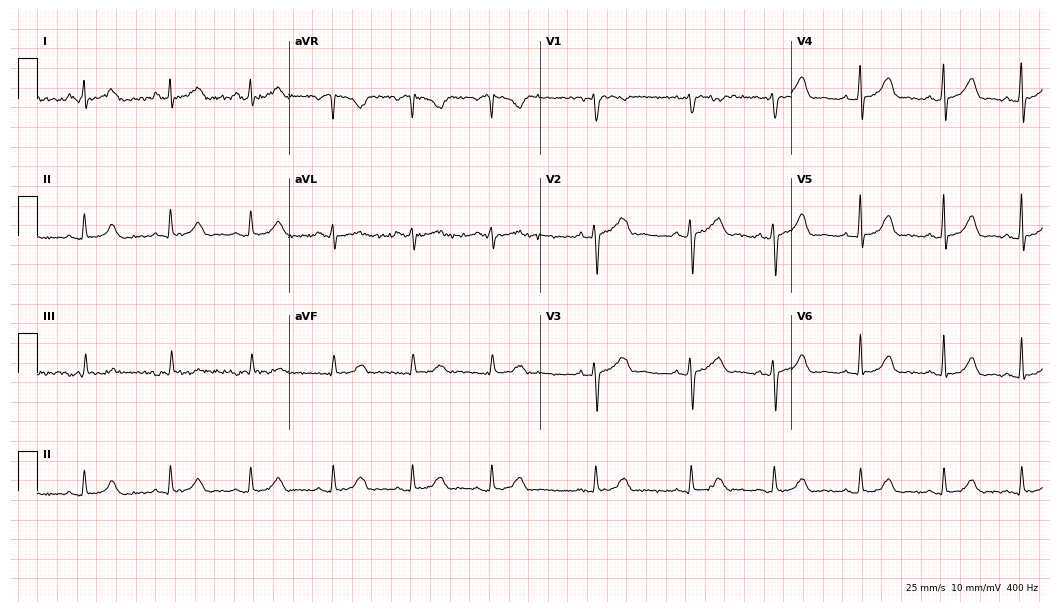
ECG (10.2-second recording at 400 Hz) — a 22-year-old female patient. Labelled as a normal ECG.